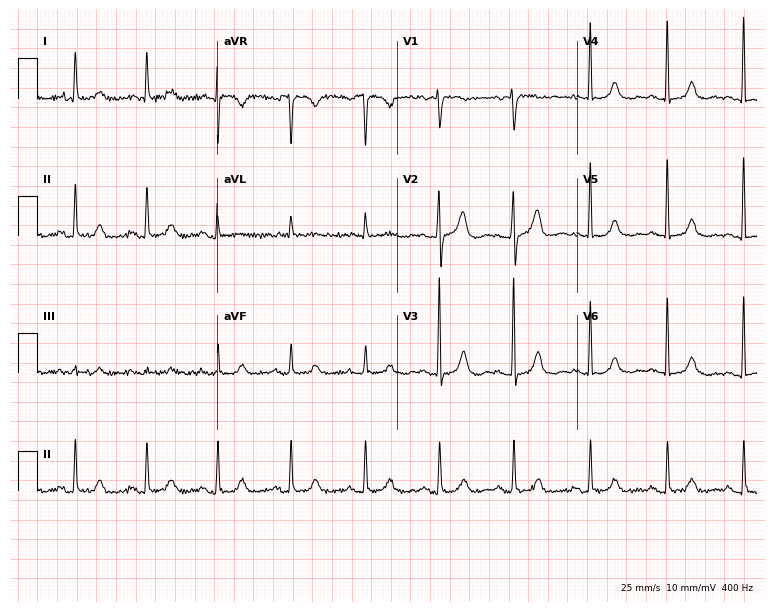
12-lead ECG from an 81-year-old woman. Recorded interpretation: within normal limits.